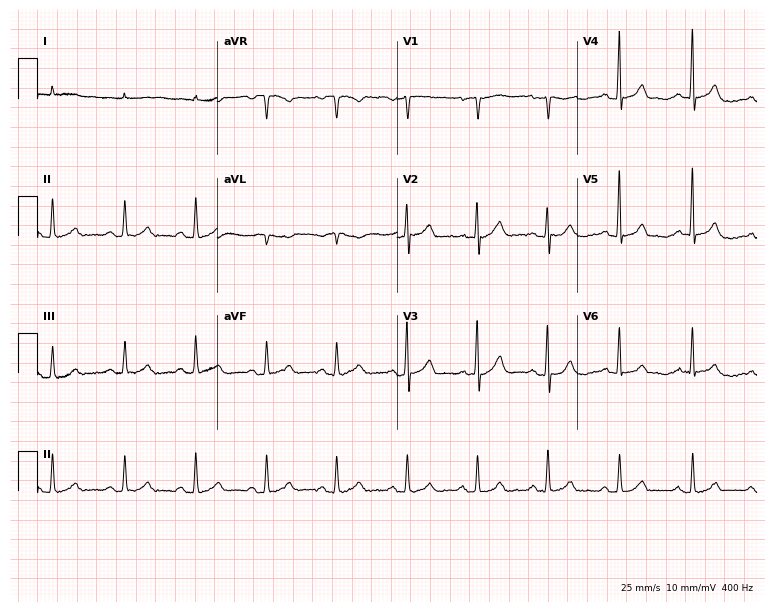
Resting 12-lead electrocardiogram. Patient: a 74-year-old man. None of these six findings is recorded: first-degree AV block, right bundle branch block (RBBB), left bundle branch block (LBBB), sinus bradycardia, atrial fibrillation (AF), sinus tachycardia. Findings outside these six are not listed.